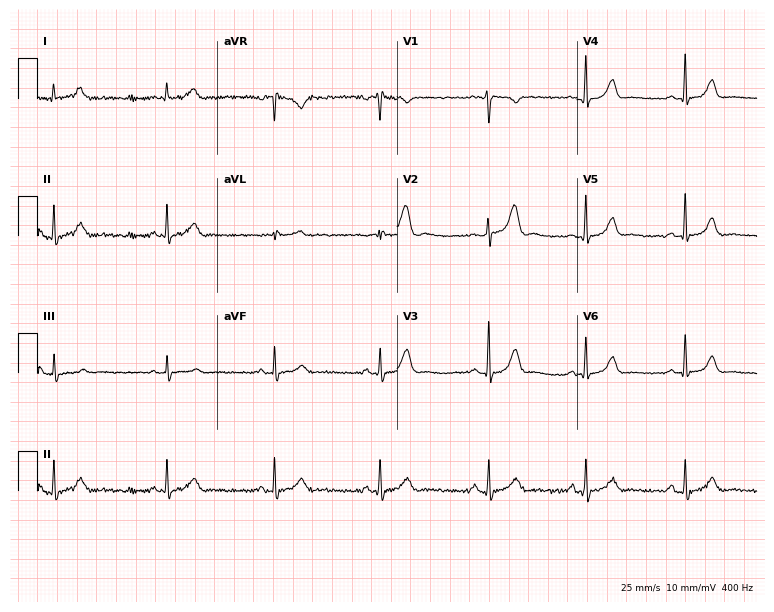
Electrocardiogram, a woman, 26 years old. Of the six screened findings (first-degree AV block, right bundle branch block, left bundle branch block, sinus bradycardia, atrial fibrillation, sinus tachycardia), none is recorded.